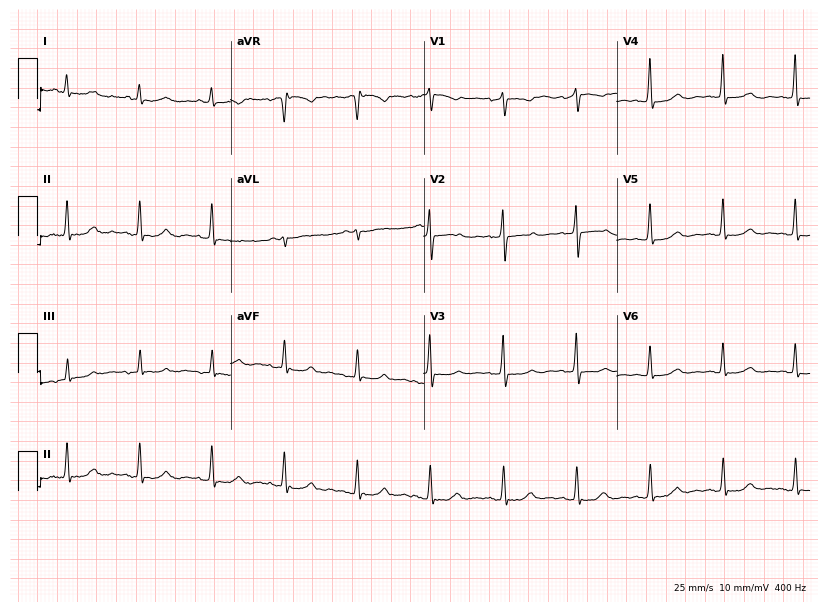
Electrocardiogram (7.9-second recording at 400 Hz), a female, 71 years old. Of the six screened findings (first-degree AV block, right bundle branch block (RBBB), left bundle branch block (LBBB), sinus bradycardia, atrial fibrillation (AF), sinus tachycardia), none is recorded.